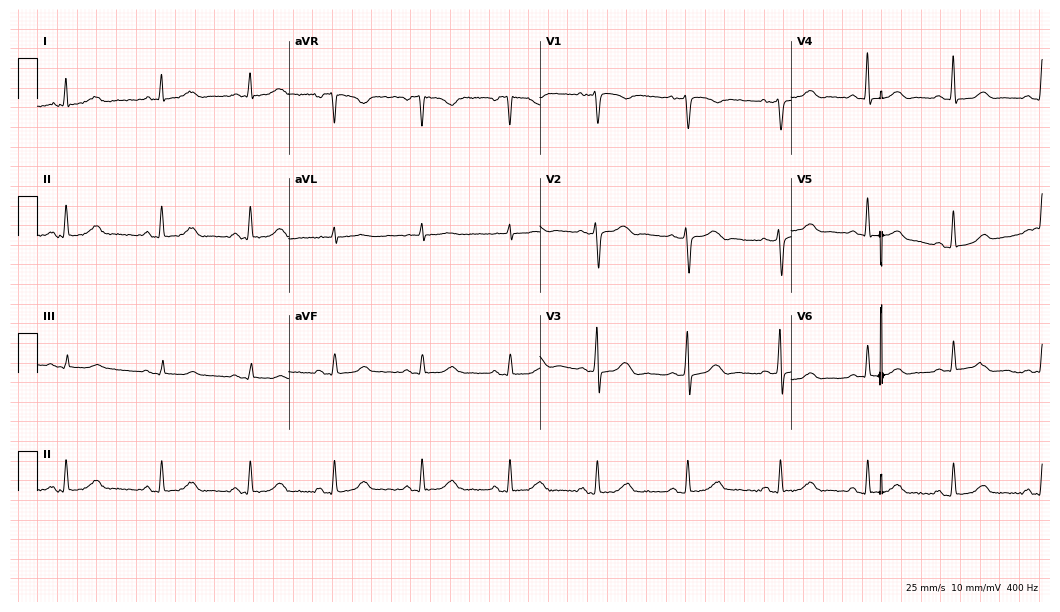
Standard 12-lead ECG recorded from a female, 59 years old. None of these six findings is recorded: first-degree AV block, right bundle branch block, left bundle branch block, sinus bradycardia, atrial fibrillation, sinus tachycardia.